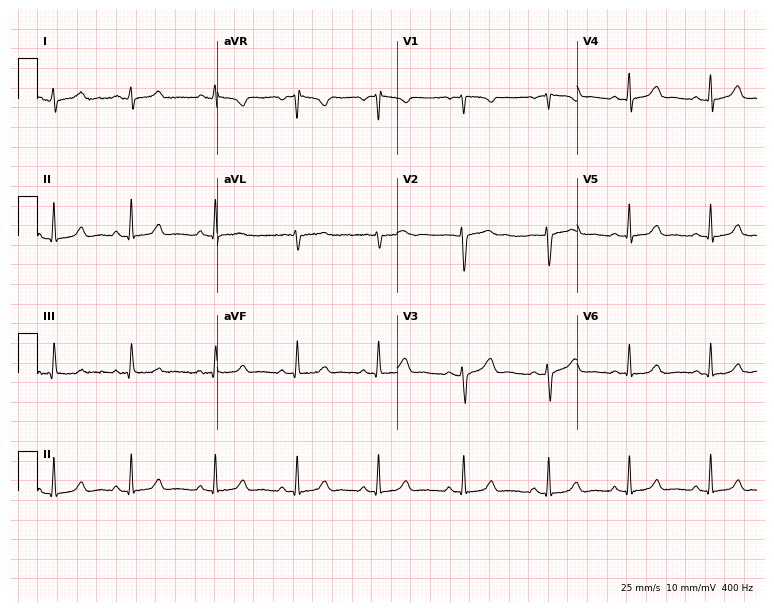
ECG (7.3-second recording at 400 Hz) — a female, 22 years old. Screened for six findings — first-degree AV block, right bundle branch block, left bundle branch block, sinus bradycardia, atrial fibrillation, sinus tachycardia — none is recorded. Findings outside these six are not listed.